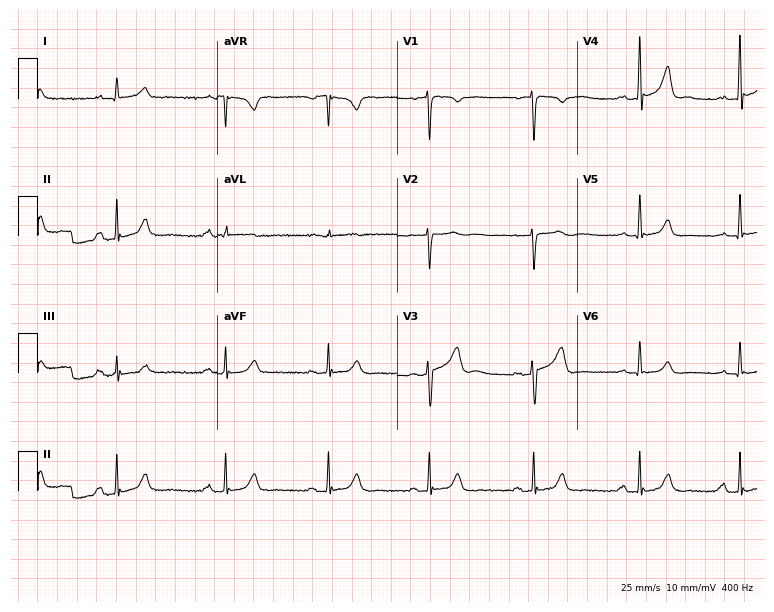
12-lead ECG from a male, 54 years old. Screened for six findings — first-degree AV block, right bundle branch block, left bundle branch block, sinus bradycardia, atrial fibrillation, sinus tachycardia — none is recorded.